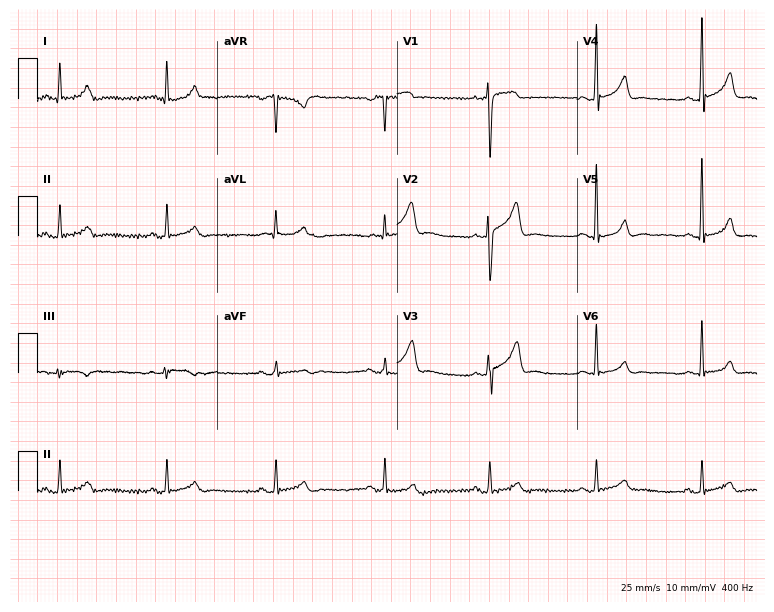
12-lead ECG from a male patient, 28 years old. Labelled as a normal ECG.